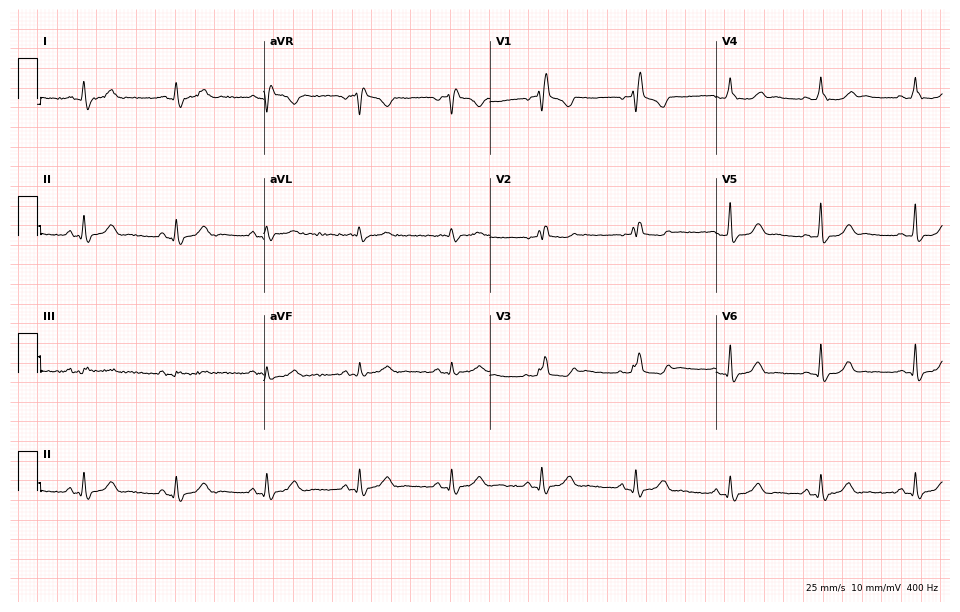
12-lead ECG from a 38-year-old female (9.2-second recording at 400 Hz). No first-degree AV block, right bundle branch block, left bundle branch block, sinus bradycardia, atrial fibrillation or sinus tachycardia recorded for this tracing.